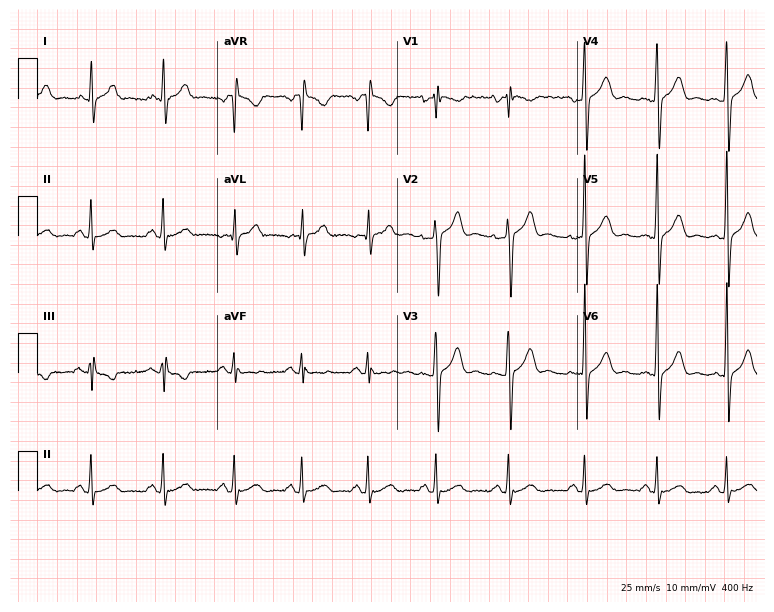
12-lead ECG (7.3-second recording at 400 Hz) from a male patient, 29 years old. Labelled as a normal ECG.